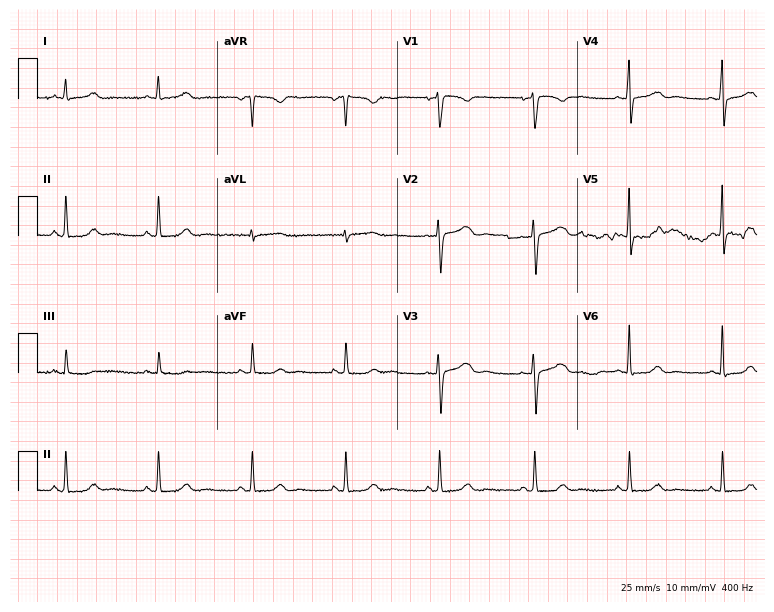
ECG (7.3-second recording at 400 Hz) — a female, 43 years old. Labelled as a normal ECG.